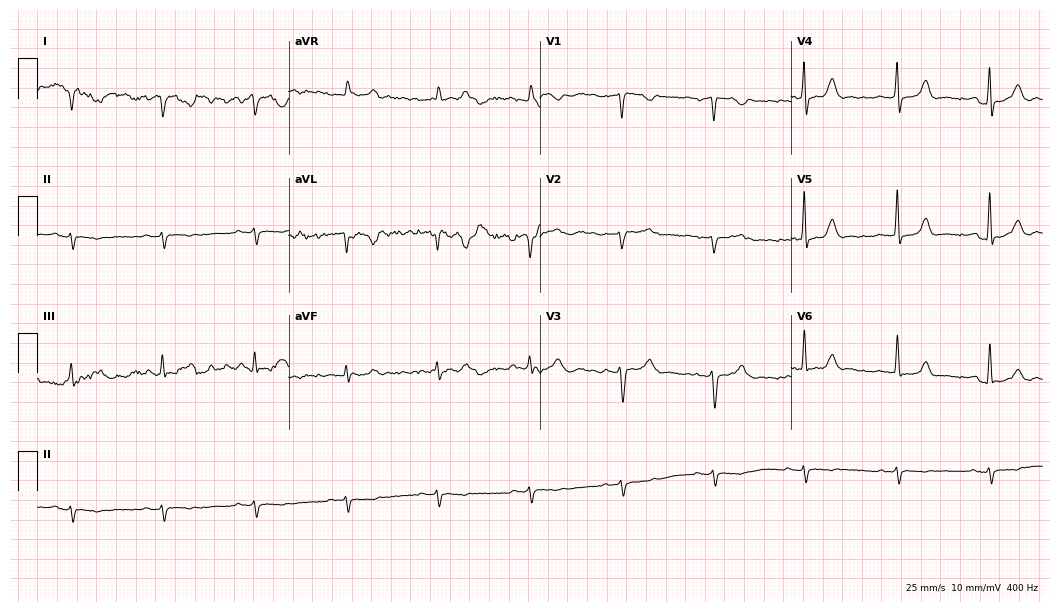
Resting 12-lead electrocardiogram. Patient: an 83-year-old female. None of these six findings is recorded: first-degree AV block, right bundle branch block (RBBB), left bundle branch block (LBBB), sinus bradycardia, atrial fibrillation (AF), sinus tachycardia. Other findings, if any, are not listed.